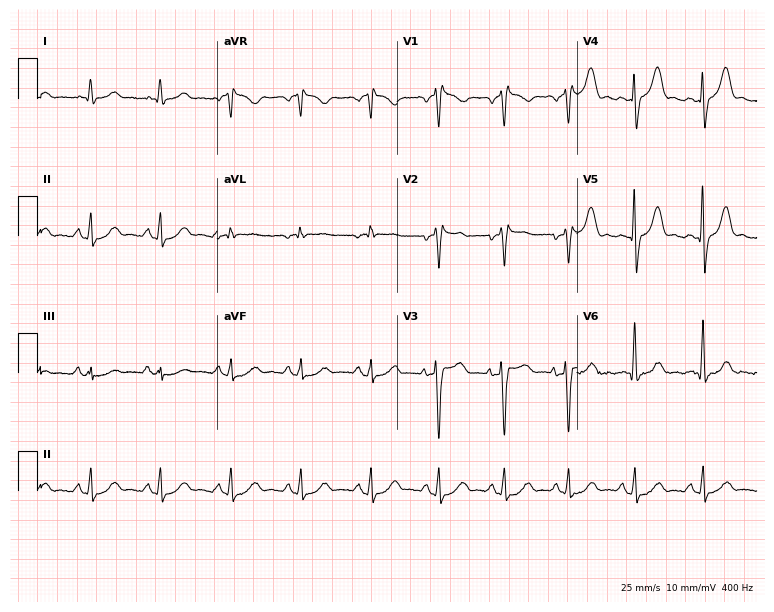
Resting 12-lead electrocardiogram (7.3-second recording at 400 Hz). Patient: a male, 50 years old. None of these six findings is recorded: first-degree AV block, right bundle branch block (RBBB), left bundle branch block (LBBB), sinus bradycardia, atrial fibrillation (AF), sinus tachycardia.